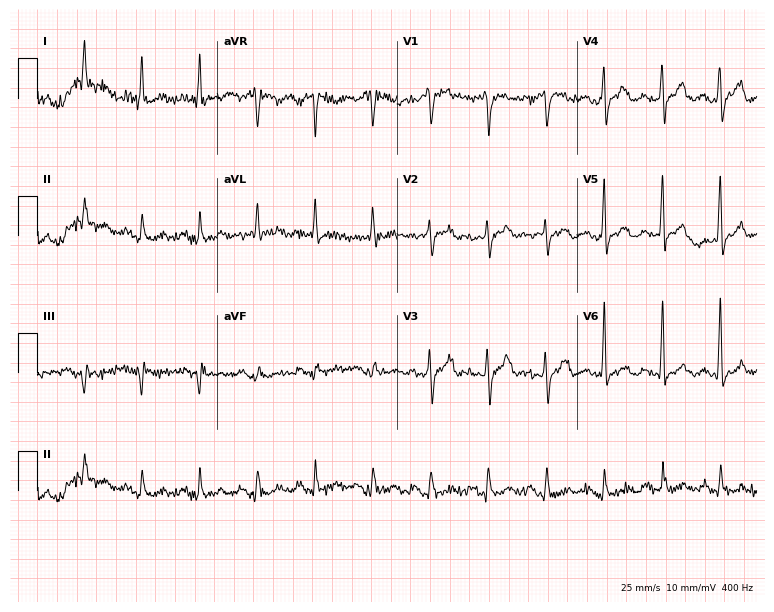
Standard 12-lead ECG recorded from a 67-year-old man (7.3-second recording at 400 Hz). None of these six findings is recorded: first-degree AV block, right bundle branch block, left bundle branch block, sinus bradycardia, atrial fibrillation, sinus tachycardia. Findings outside these six are not listed.